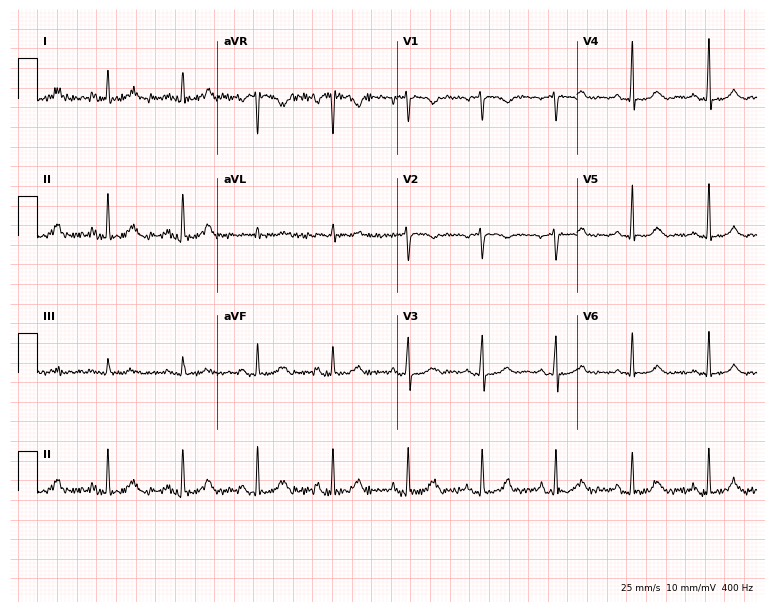
Electrocardiogram, a 55-year-old woman. Overall reading on record: normal ECG.